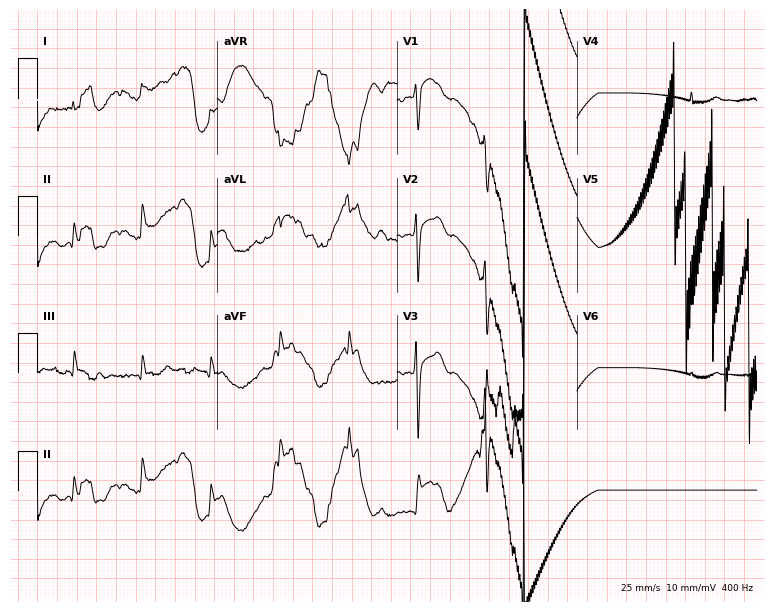
12-lead ECG (7.3-second recording at 400 Hz) from a woman, 80 years old. Screened for six findings — first-degree AV block, right bundle branch block, left bundle branch block, sinus bradycardia, atrial fibrillation, sinus tachycardia — none is recorded. Findings outside these six are not listed.